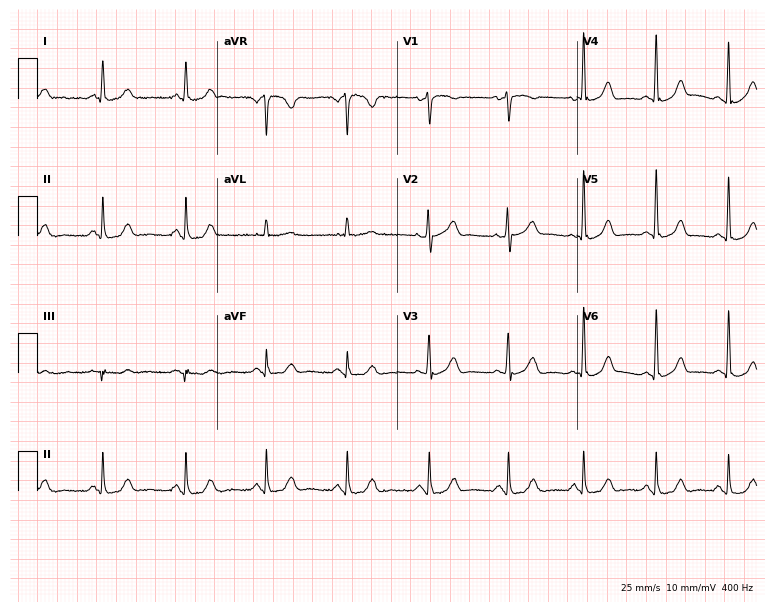
Standard 12-lead ECG recorded from a 61-year-old woman (7.3-second recording at 400 Hz). Read as a normal ECG.